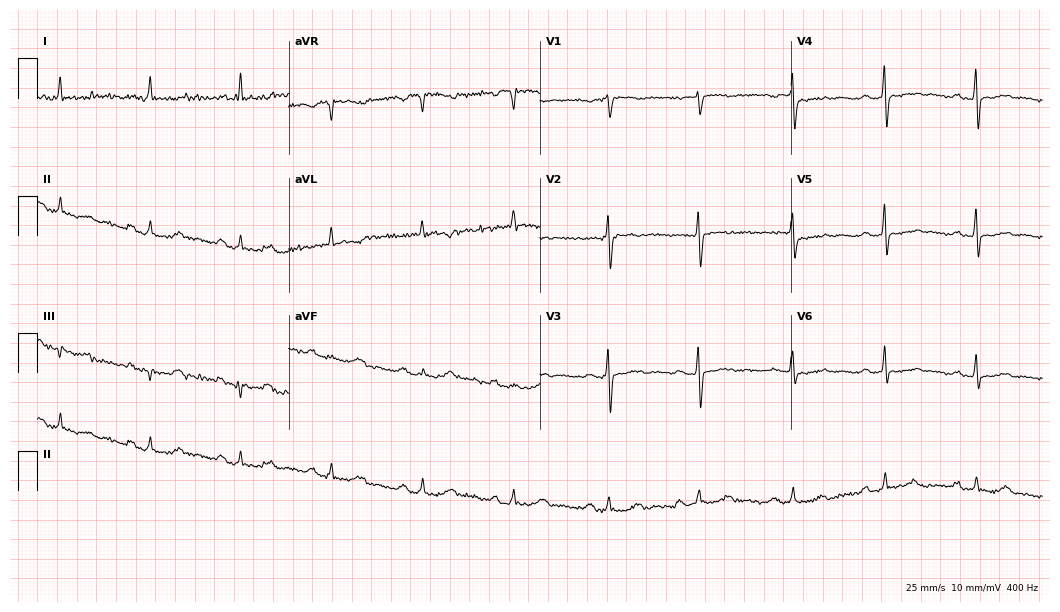
ECG (10.2-second recording at 400 Hz) — a 79-year-old female patient. Labelled as a normal ECG.